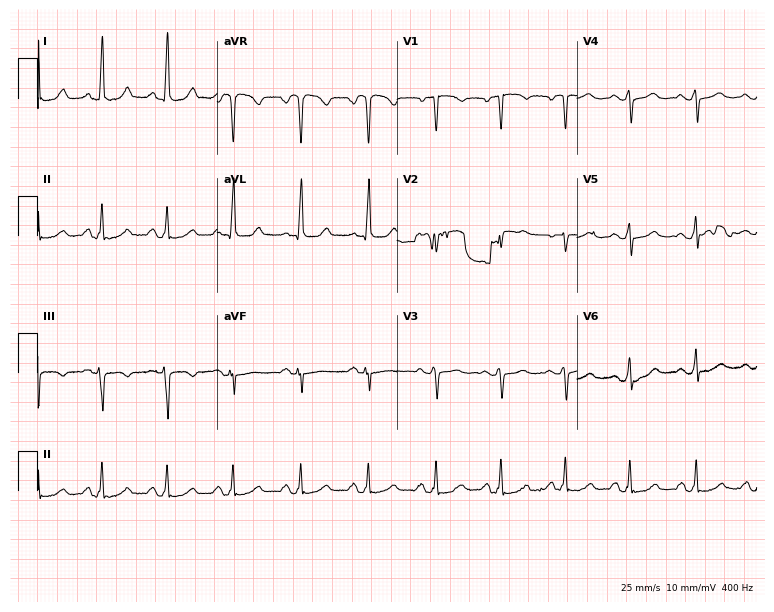
Standard 12-lead ECG recorded from a woman, 58 years old (7.3-second recording at 400 Hz). None of these six findings is recorded: first-degree AV block, right bundle branch block, left bundle branch block, sinus bradycardia, atrial fibrillation, sinus tachycardia.